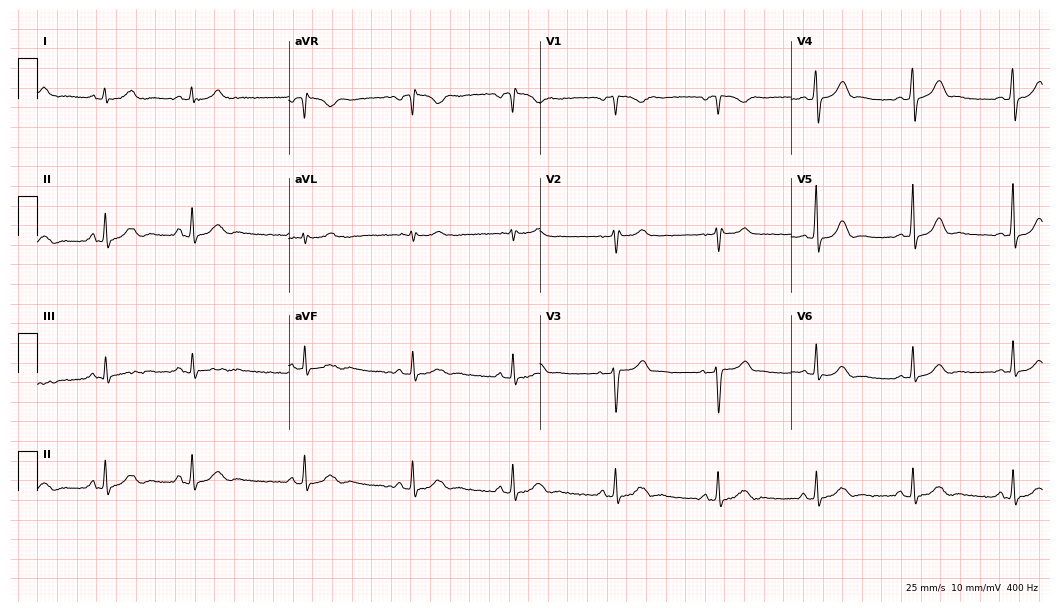
Resting 12-lead electrocardiogram (10.2-second recording at 400 Hz). Patient: a 38-year-old woman. Read as a normal ECG.